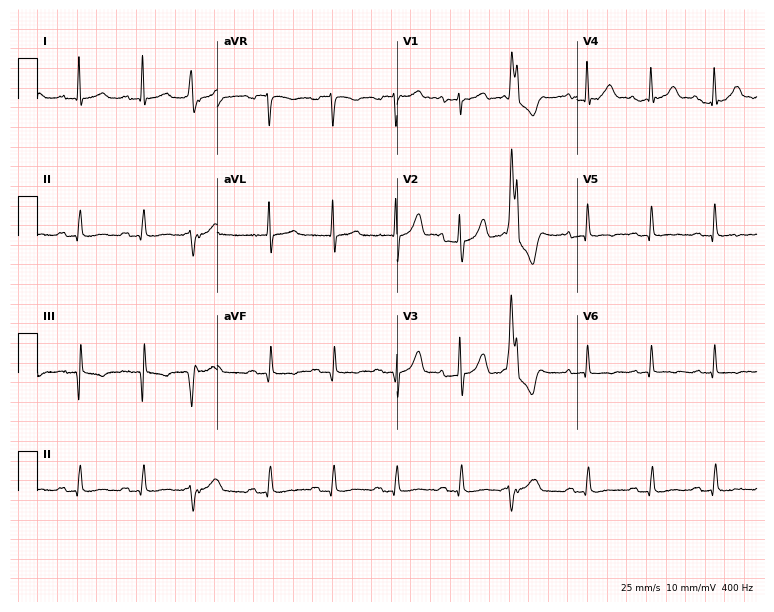
Electrocardiogram, a 75-year-old male. Of the six screened findings (first-degree AV block, right bundle branch block, left bundle branch block, sinus bradycardia, atrial fibrillation, sinus tachycardia), none is recorded.